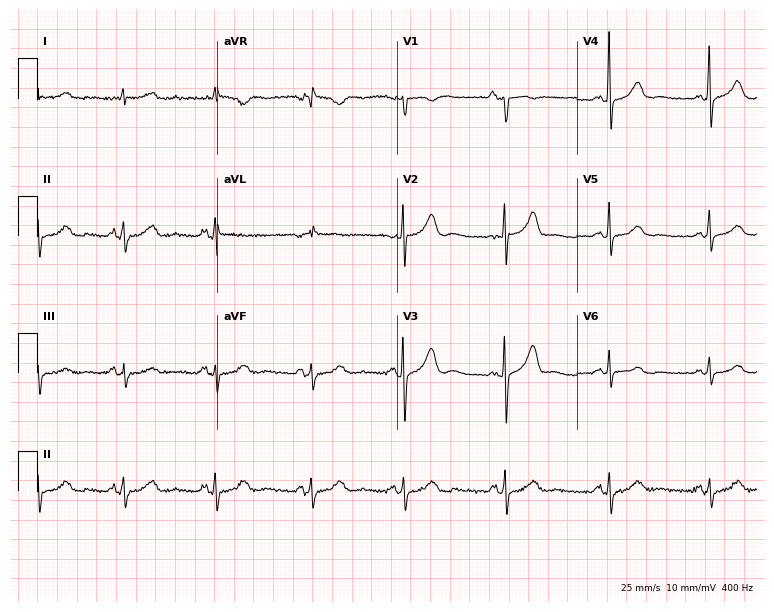
Electrocardiogram, a 72-year-old female. Of the six screened findings (first-degree AV block, right bundle branch block, left bundle branch block, sinus bradycardia, atrial fibrillation, sinus tachycardia), none is recorded. Other findings, if any, are not listed.